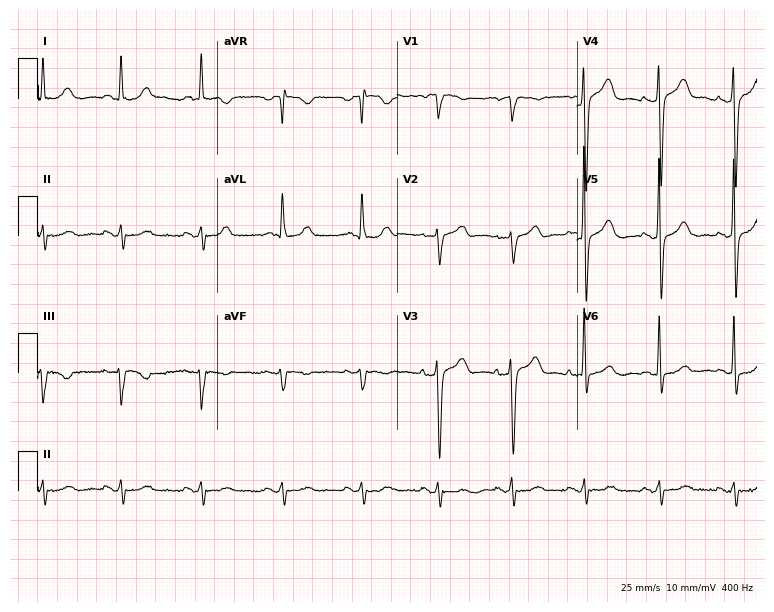
Resting 12-lead electrocardiogram (7.3-second recording at 400 Hz). Patient: a man, 67 years old. None of these six findings is recorded: first-degree AV block, right bundle branch block, left bundle branch block, sinus bradycardia, atrial fibrillation, sinus tachycardia.